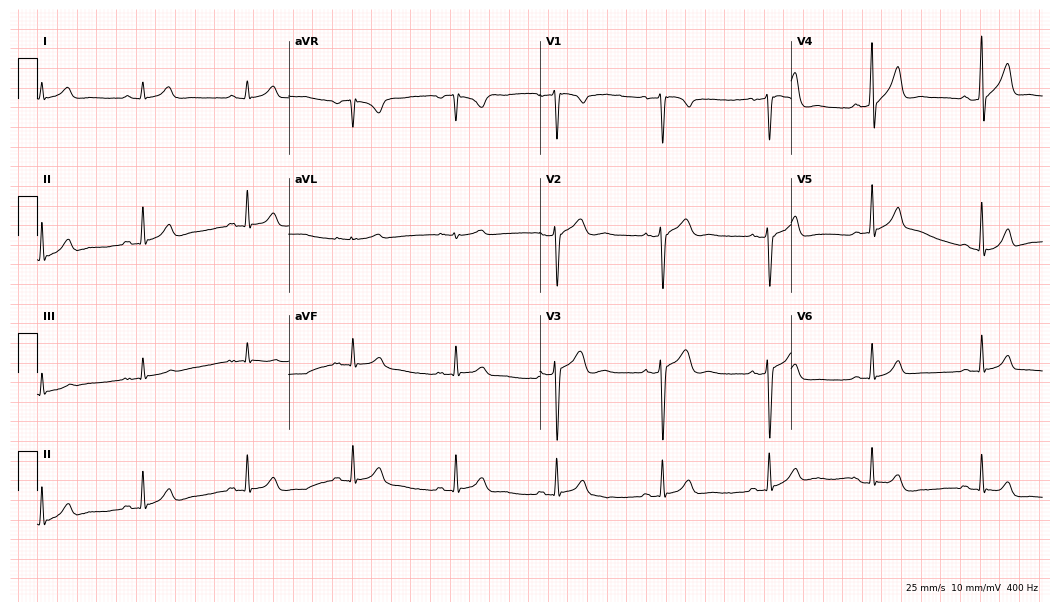
Electrocardiogram, a male patient, 31 years old. Of the six screened findings (first-degree AV block, right bundle branch block, left bundle branch block, sinus bradycardia, atrial fibrillation, sinus tachycardia), none is recorded. Other findings, if any, are not listed.